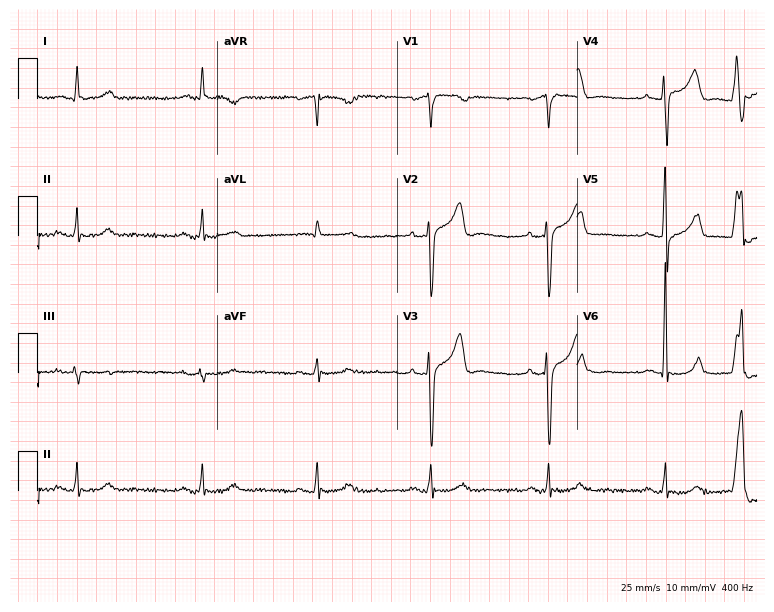
Resting 12-lead electrocardiogram (7.3-second recording at 400 Hz). Patient: a man, 53 years old. None of these six findings is recorded: first-degree AV block, right bundle branch block, left bundle branch block, sinus bradycardia, atrial fibrillation, sinus tachycardia.